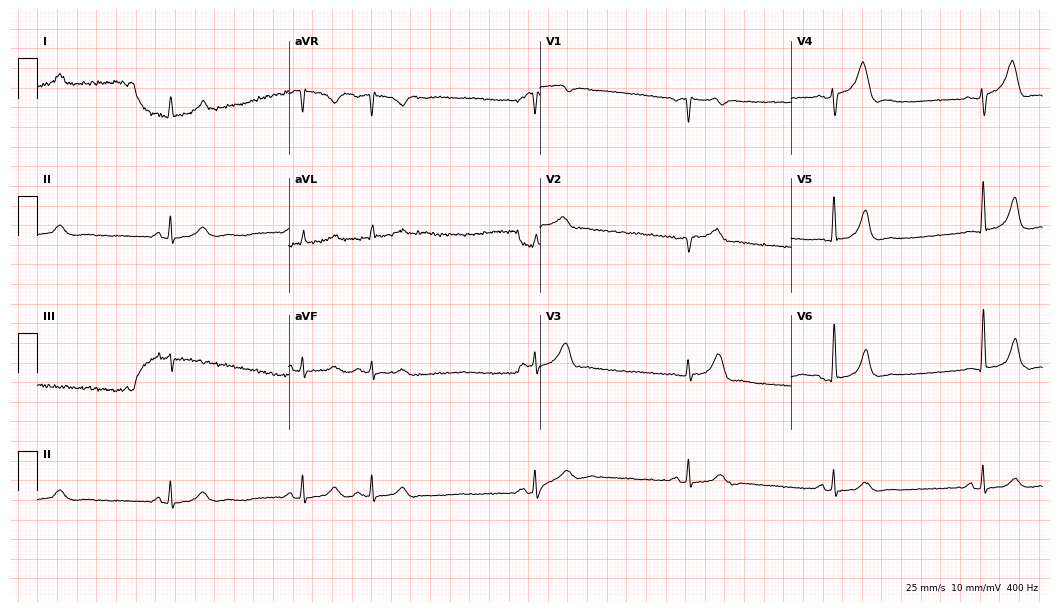
Electrocardiogram (10.2-second recording at 400 Hz), a 73-year-old male patient. Of the six screened findings (first-degree AV block, right bundle branch block, left bundle branch block, sinus bradycardia, atrial fibrillation, sinus tachycardia), none is recorded. Findings outside these six are not listed.